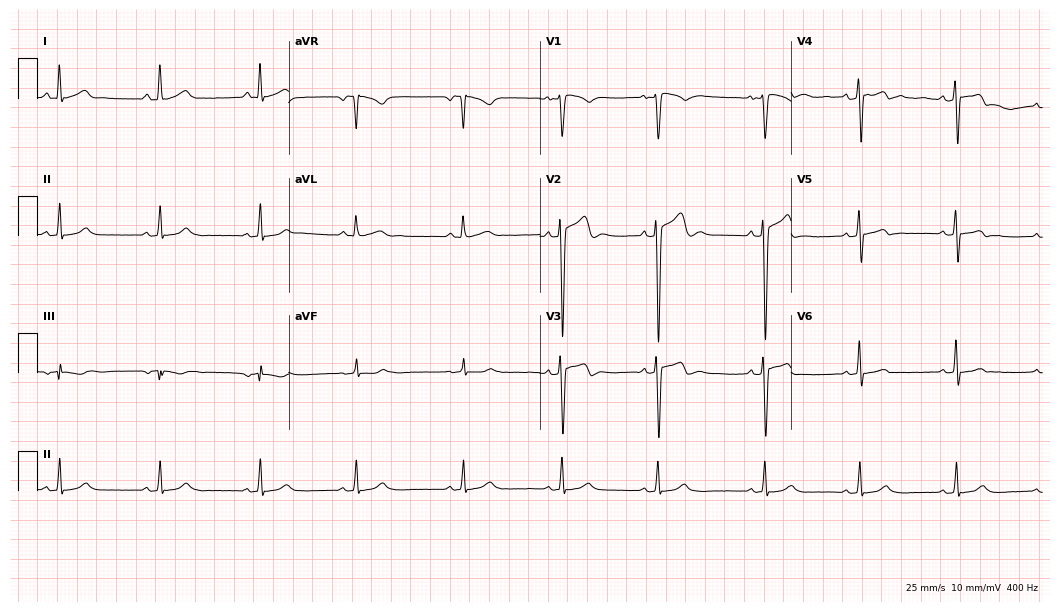
12-lead ECG from a male, 19 years old. Screened for six findings — first-degree AV block, right bundle branch block, left bundle branch block, sinus bradycardia, atrial fibrillation, sinus tachycardia — none is recorded.